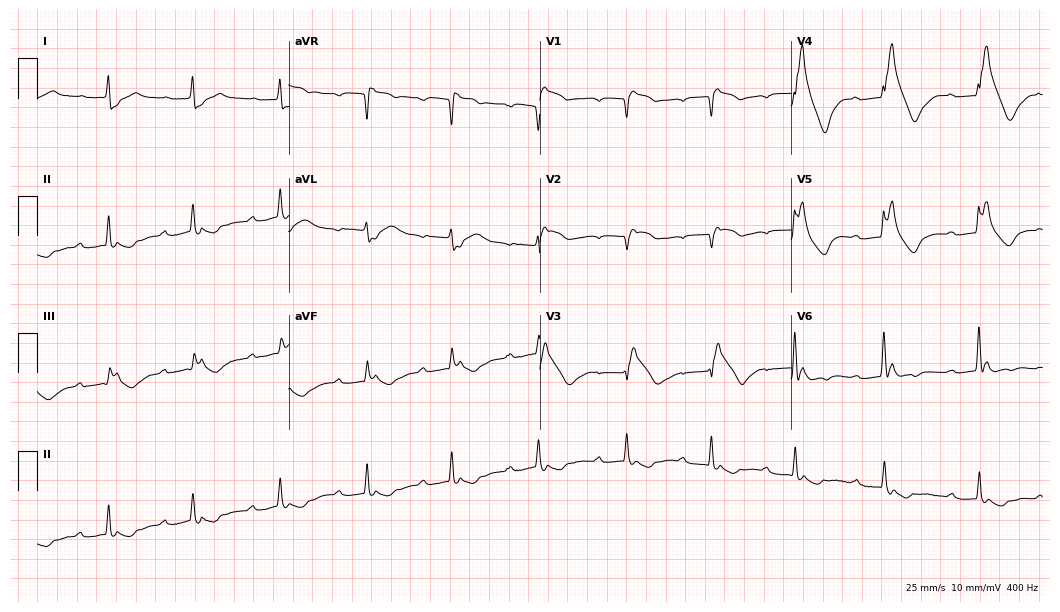
Standard 12-lead ECG recorded from a female, 80 years old. The tracing shows first-degree AV block, right bundle branch block (RBBB).